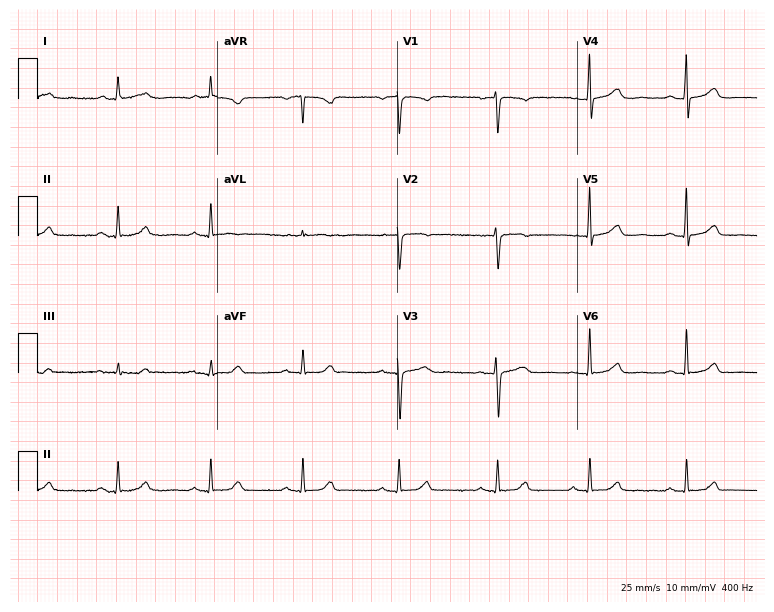
12-lead ECG from a woman, 56 years old (7.3-second recording at 400 Hz). No first-degree AV block, right bundle branch block (RBBB), left bundle branch block (LBBB), sinus bradycardia, atrial fibrillation (AF) or sinus tachycardia recorded for this tracing. Findings outside these six are not listed.